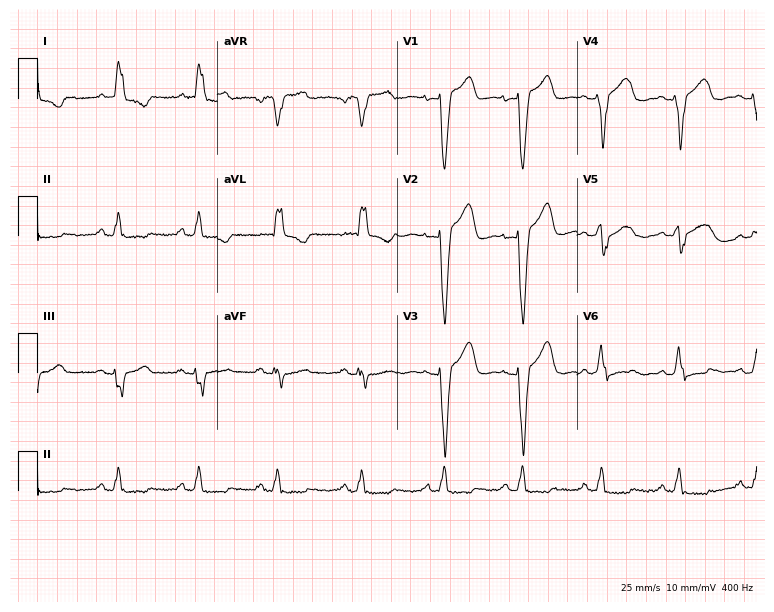
12-lead ECG from an 83-year-old female. Shows left bundle branch block.